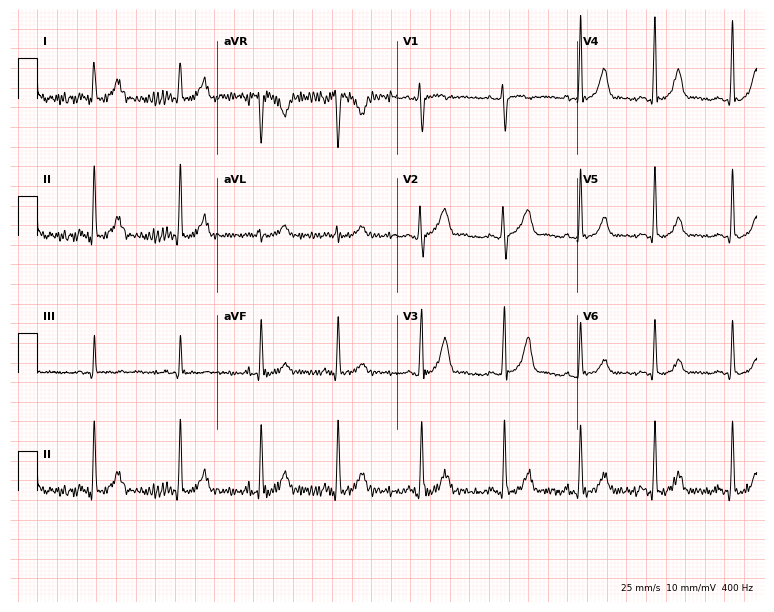
12-lead ECG from a 20-year-old female patient (7.3-second recording at 400 Hz). Recorded interpretation: within normal limits.